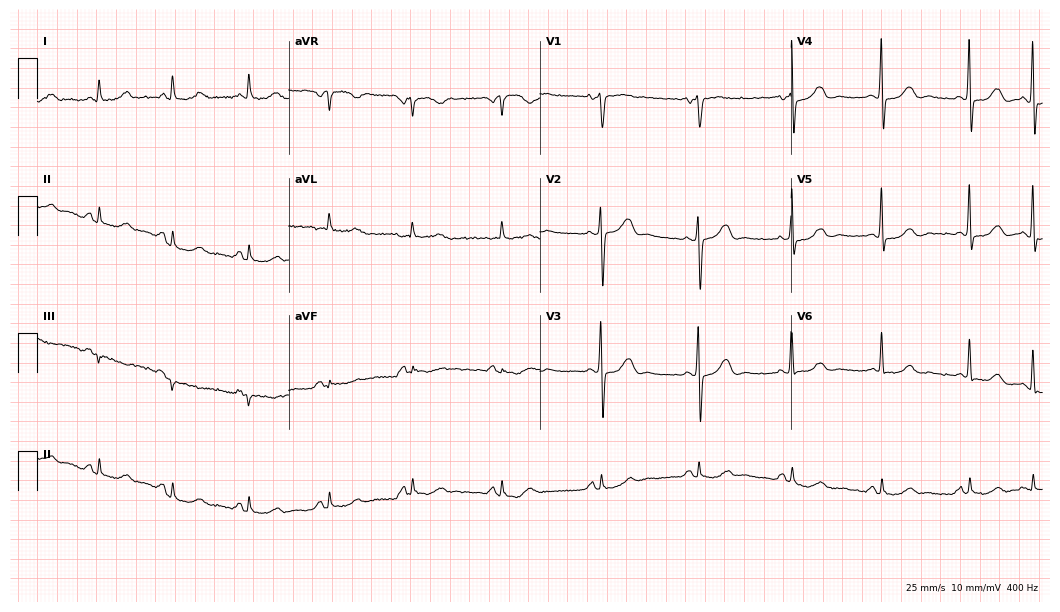
Resting 12-lead electrocardiogram (10.2-second recording at 400 Hz). Patient: a woman, 65 years old. None of these six findings is recorded: first-degree AV block, right bundle branch block (RBBB), left bundle branch block (LBBB), sinus bradycardia, atrial fibrillation (AF), sinus tachycardia.